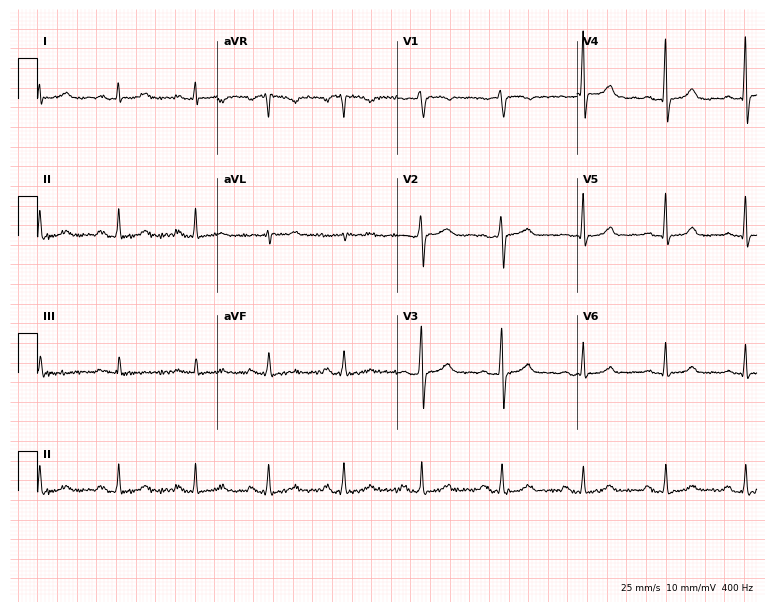
Standard 12-lead ECG recorded from a 47-year-old woman. None of these six findings is recorded: first-degree AV block, right bundle branch block, left bundle branch block, sinus bradycardia, atrial fibrillation, sinus tachycardia. Findings outside these six are not listed.